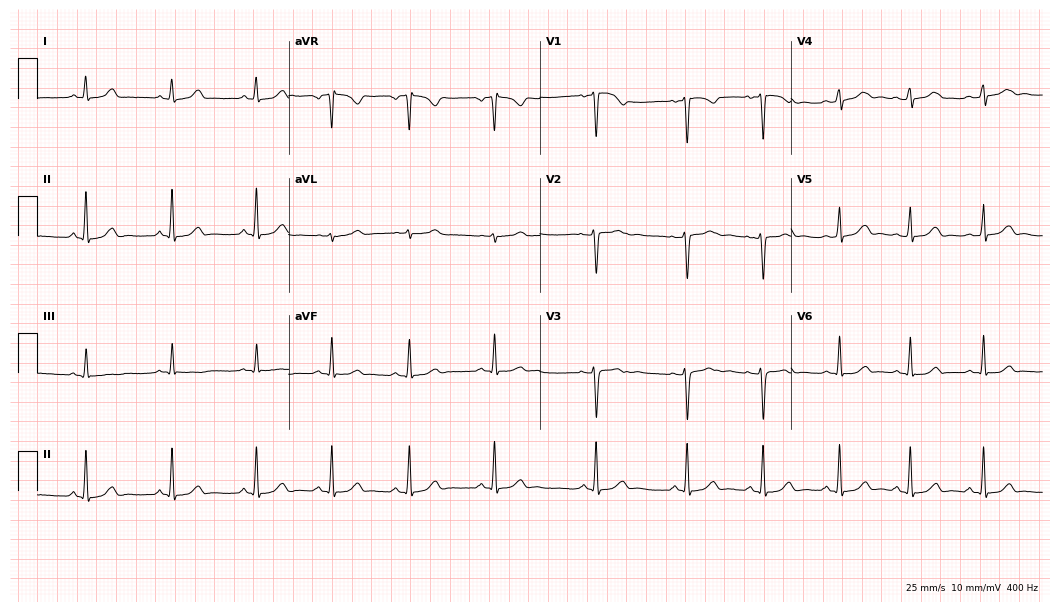
Electrocardiogram, a 19-year-old female patient. Overall reading on record: normal ECG.